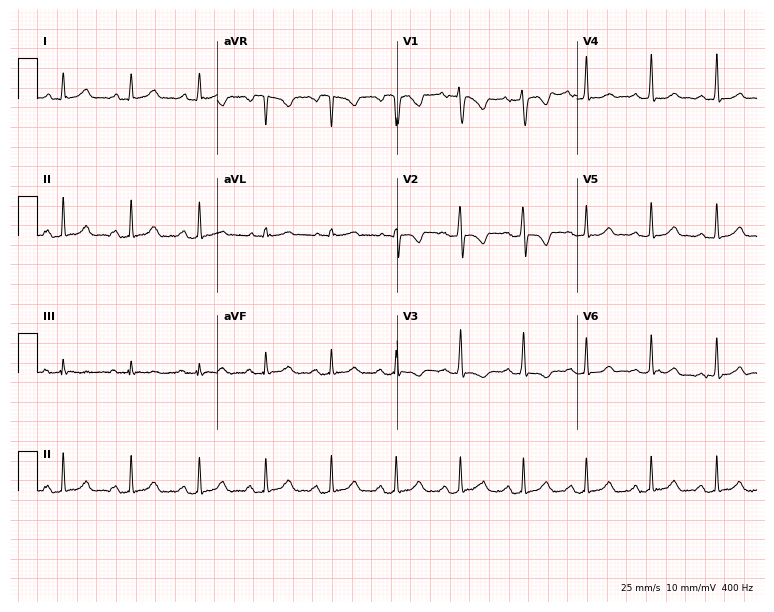
Resting 12-lead electrocardiogram (7.3-second recording at 400 Hz). Patient: a female, 24 years old. None of these six findings is recorded: first-degree AV block, right bundle branch block, left bundle branch block, sinus bradycardia, atrial fibrillation, sinus tachycardia.